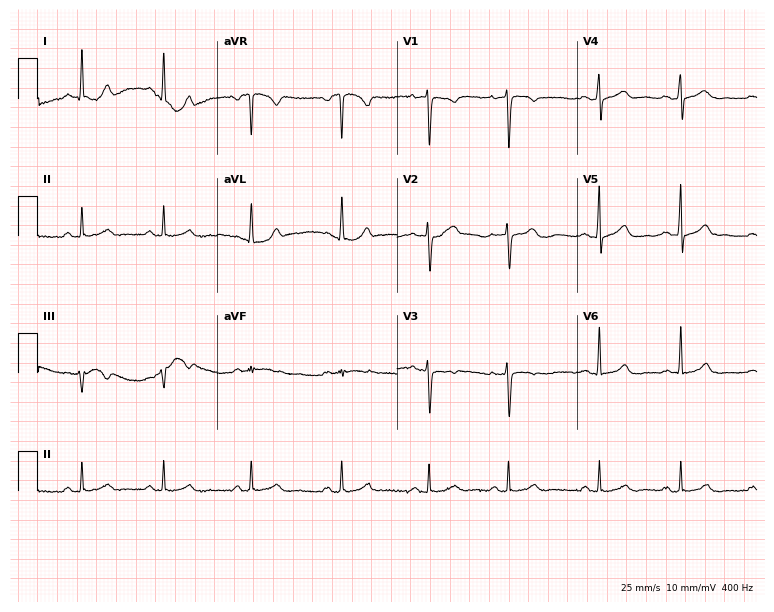
ECG (7.3-second recording at 400 Hz) — a 36-year-old female patient. Labelled as a normal ECG.